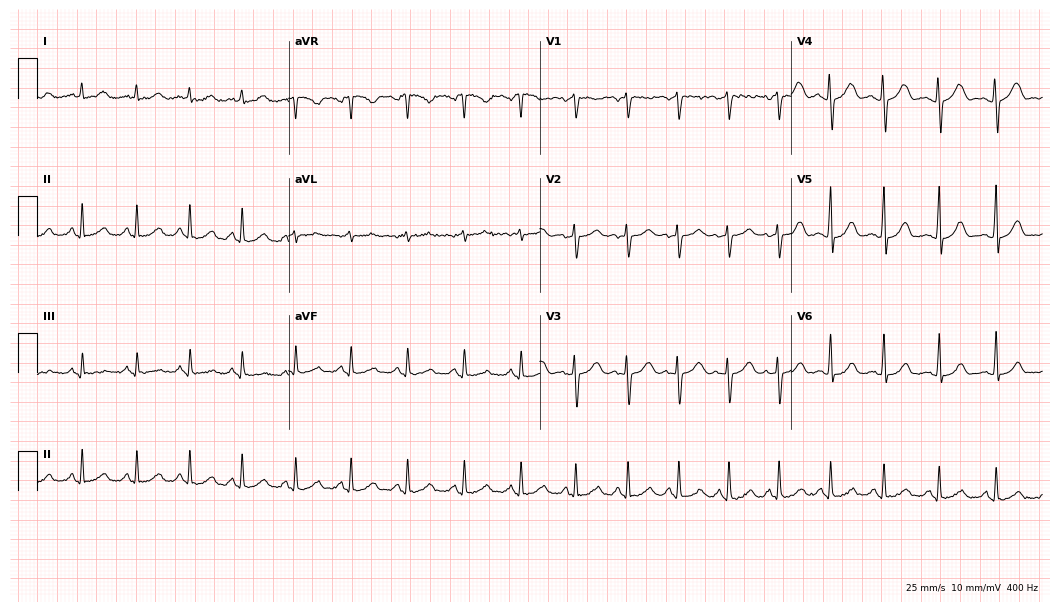
12-lead ECG from a 24-year-old woman. Shows sinus tachycardia (a sinus rate of 100 beats per minute or more).